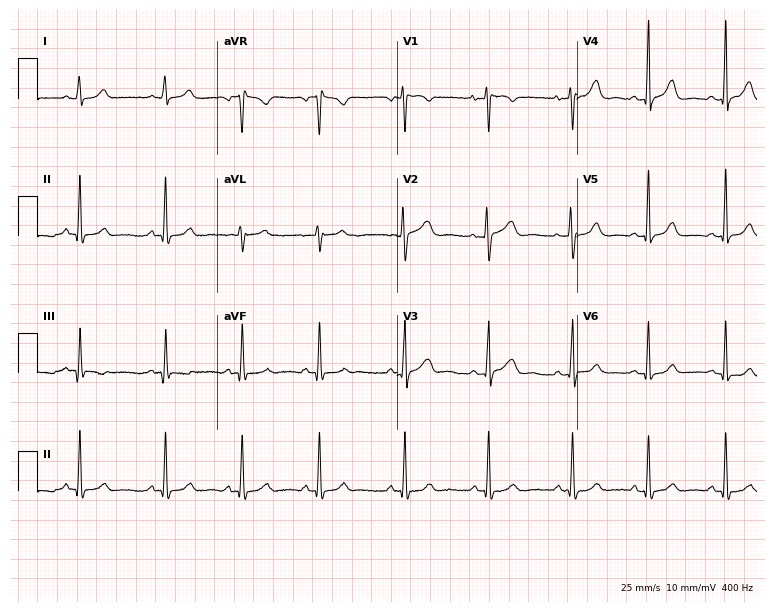
Resting 12-lead electrocardiogram. Patient: a 38-year-old female. Read as a normal ECG.